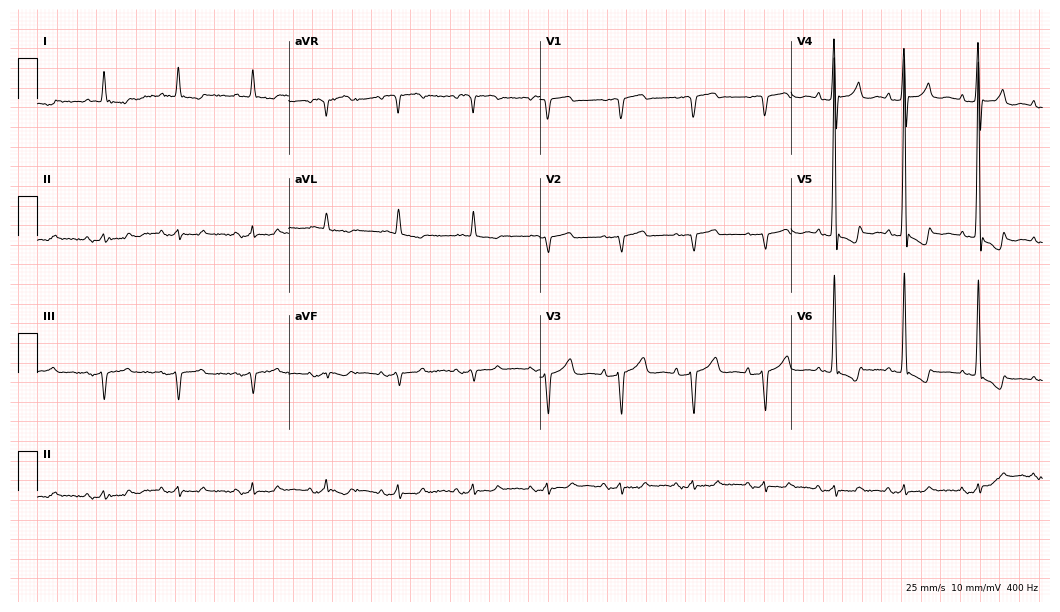
Resting 12-lead electrocardiogram. Patient: a man, 82 years old. None of these six findings is recorded: first-degree AV block, right bundle branch block (RBBB), left bundle branch block (LBBB), sinus bradycardia, atrial fibrillation (AF), sinus tachycardia. Findings outside these six are not listed.